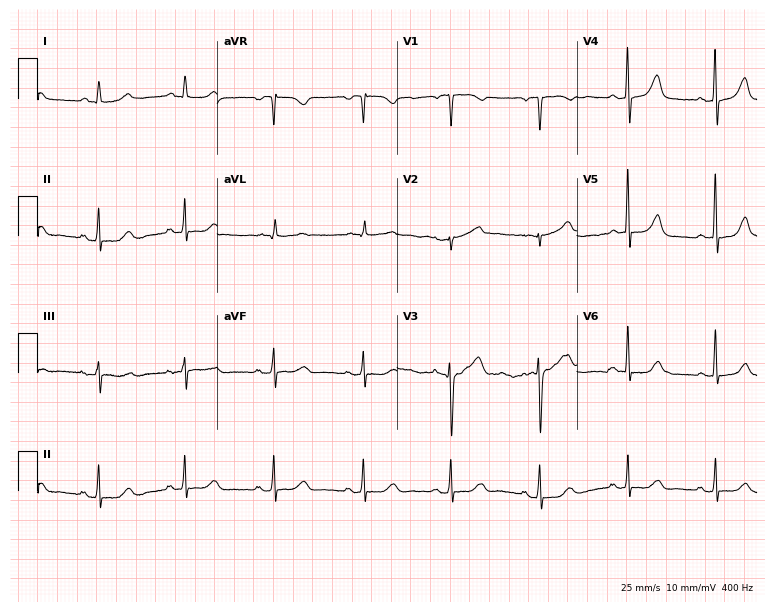
ECG — a woman, 56 years old. Labelled as a normal ECG.